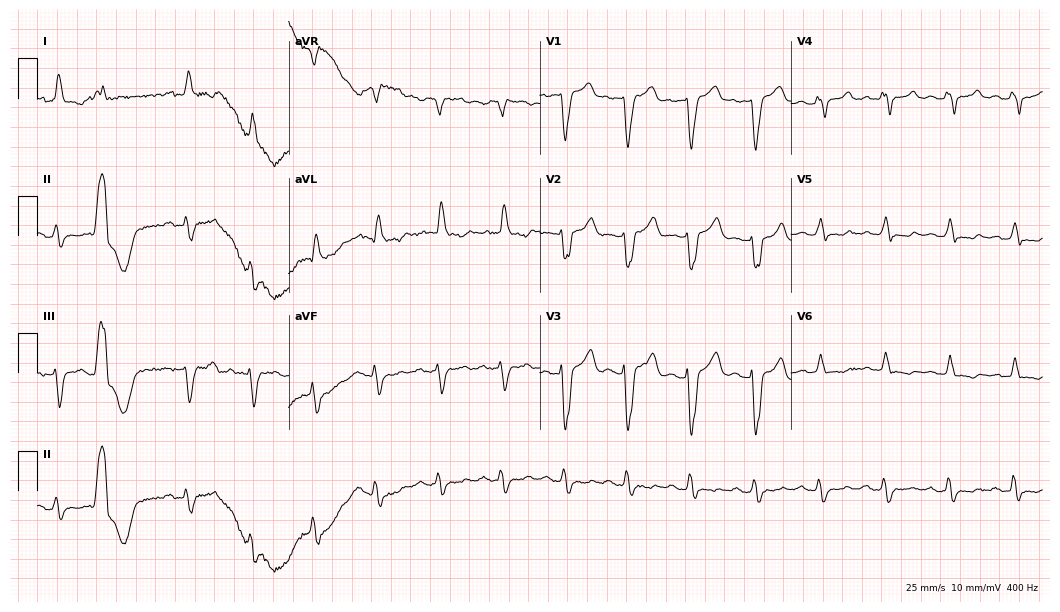
ECG — a male, 58 years old. Findings include left bundle branch block.